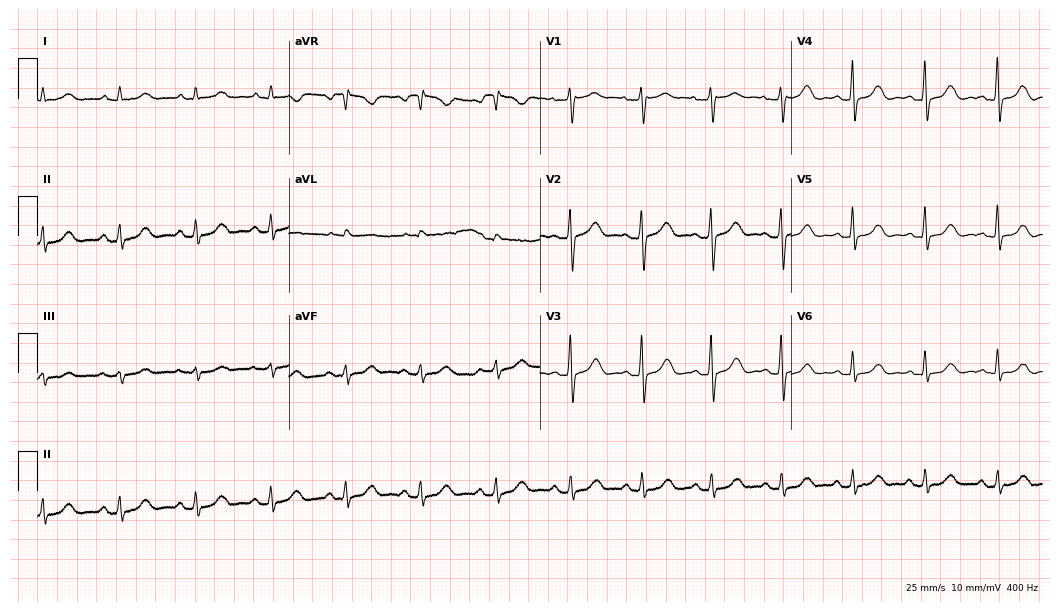
Standard 12-lead ECG recorded from a 61-year-old woman (10.2-second recording at 400 Hz). None of these six findings is recorded: first-degree AV block, right bundle branch block, left bundle branch block, sinus bradycardia, atrial fibrillation, sinus tachycardia. Only these six findings were labelled.